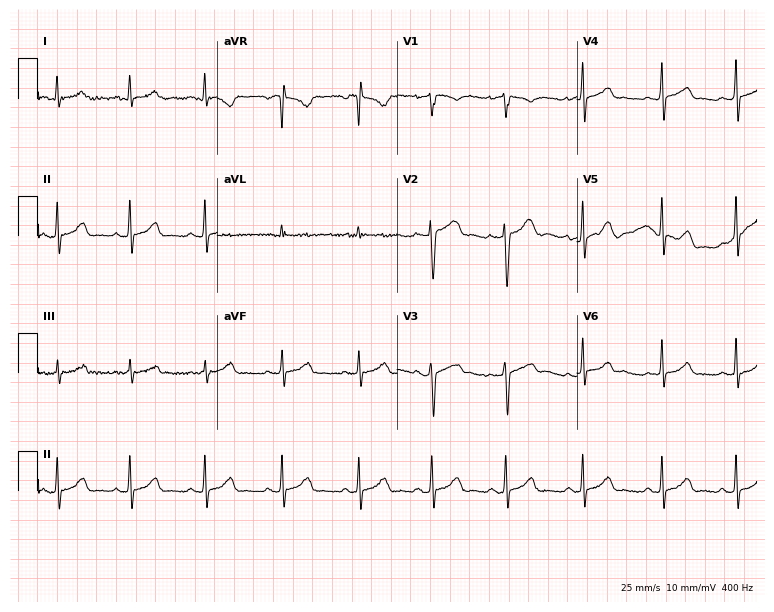
Electrocardiogram (7.3-second recording at 400 Hz), a female patient, 17 years old. Overall reading on record: normal ECG.